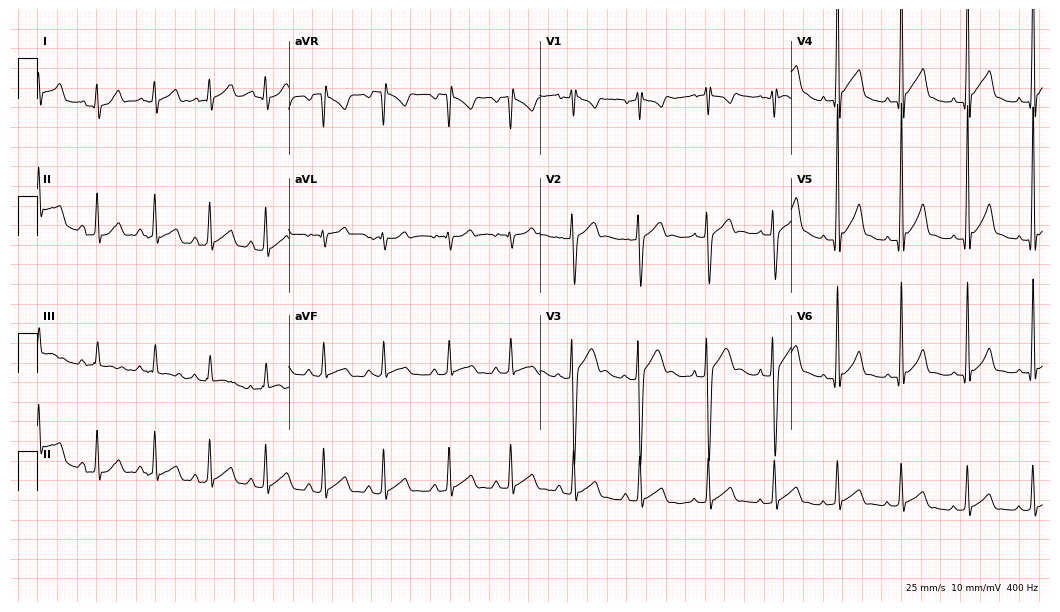
12-lead ECG from a 17-year-old male. No first-degree AV block, right bundle branch block (RBBB), left bundle branch block (LBBB), sinus bradycardia, atrial fibrillation (AF) or sinus tachycardia recorded for this tracing. Only these six findings were labelled.